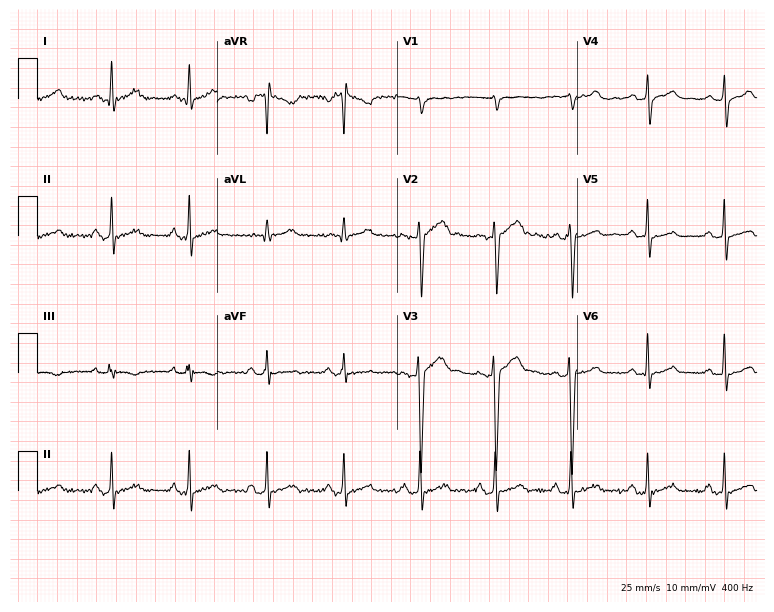
Standard 12-lead ECG recorded from a male patient, 41 years old (7.3-second recording at 400 Hz). Read as a normal ECG.